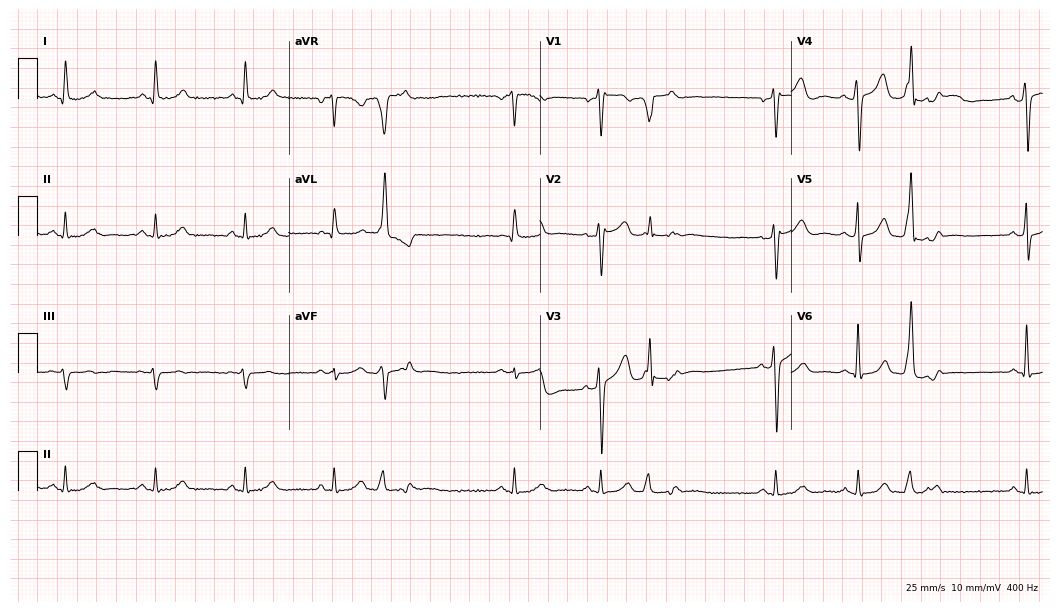
ECG — a man, 67 years old. Screened for six findings — first-degree AV block, right bundle branch block, left bundle branch block, sinus bradycardia, atrial fibrillation, sinus tachycardia — none is recorded.